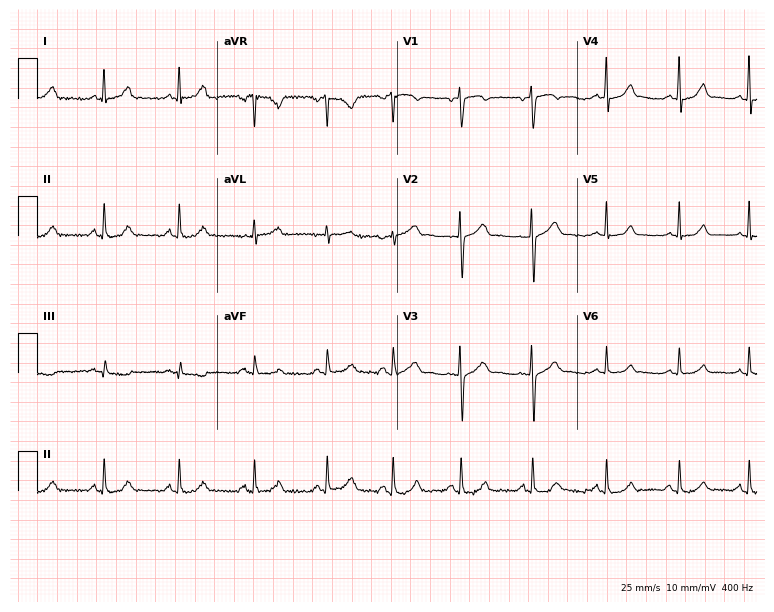
12-lead ECG from a woman, 43 years old (7.3-second recording at 400 Hz). Recorded interpretation: within normal limits.